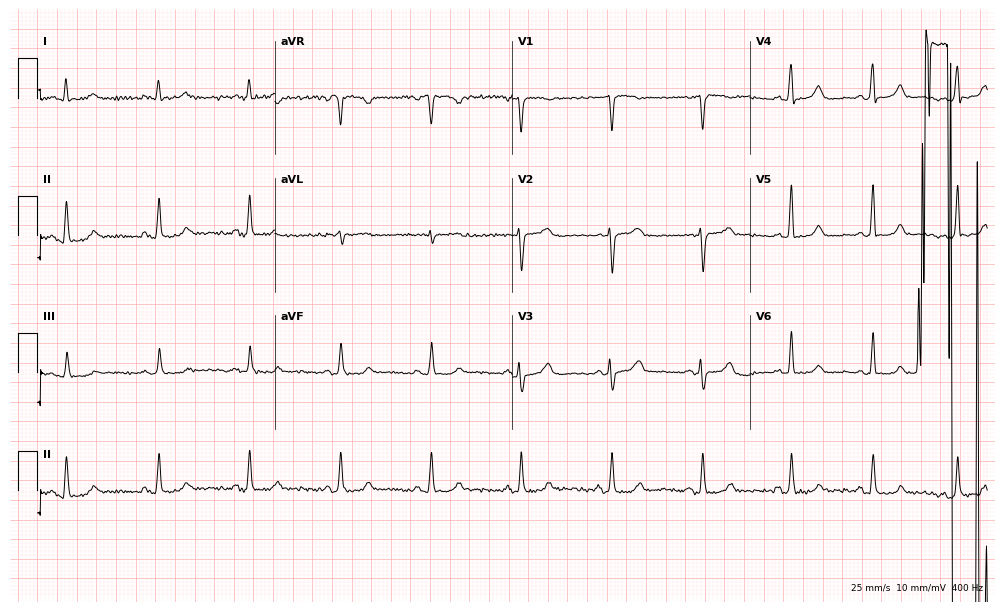
12-lead ECG from a female patient, 44 years old (9.7-second recording at 400 Hz). Recorded interpretation: within normal limits.